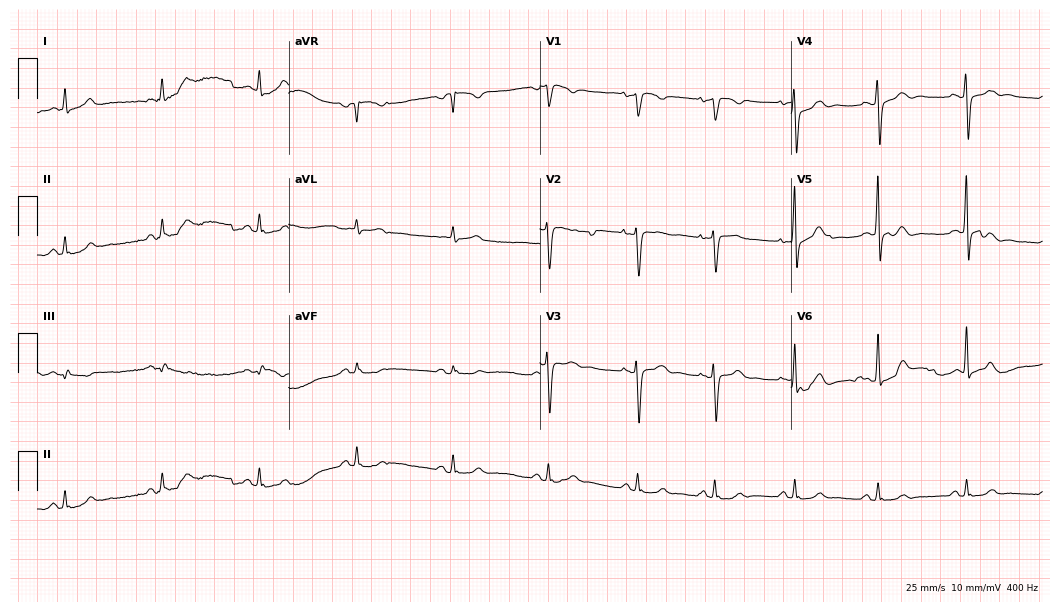
ECG — a 76-year-old male. Screened for six findings — first-degree AV block, right bundle branch block, left bundle branch block, sinus bradycardia, atrial fibrillation, sinus tachycardia — none is recorded. Only these six findings were labelled.